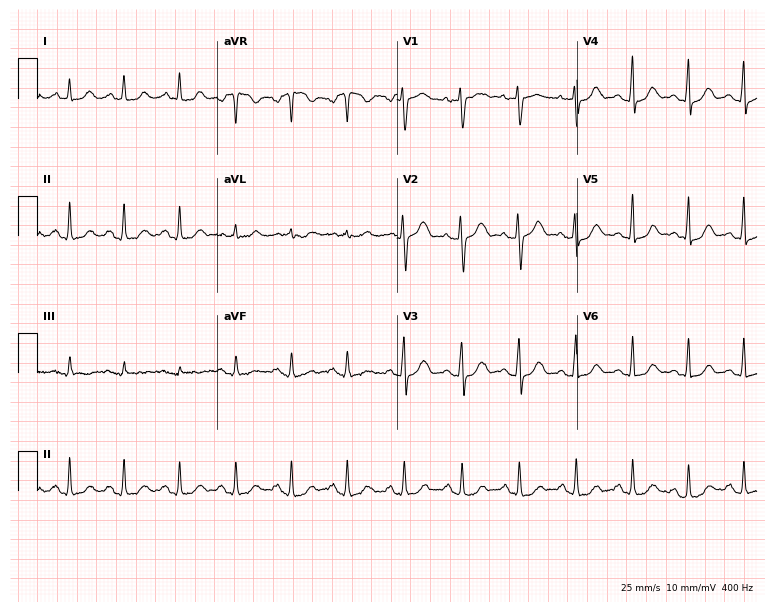
Standard 12-lead ECG recorded from a 28-year-old female. The tracing shows sinus tachycardia (a sinus rate of 100 beats per minute or more).